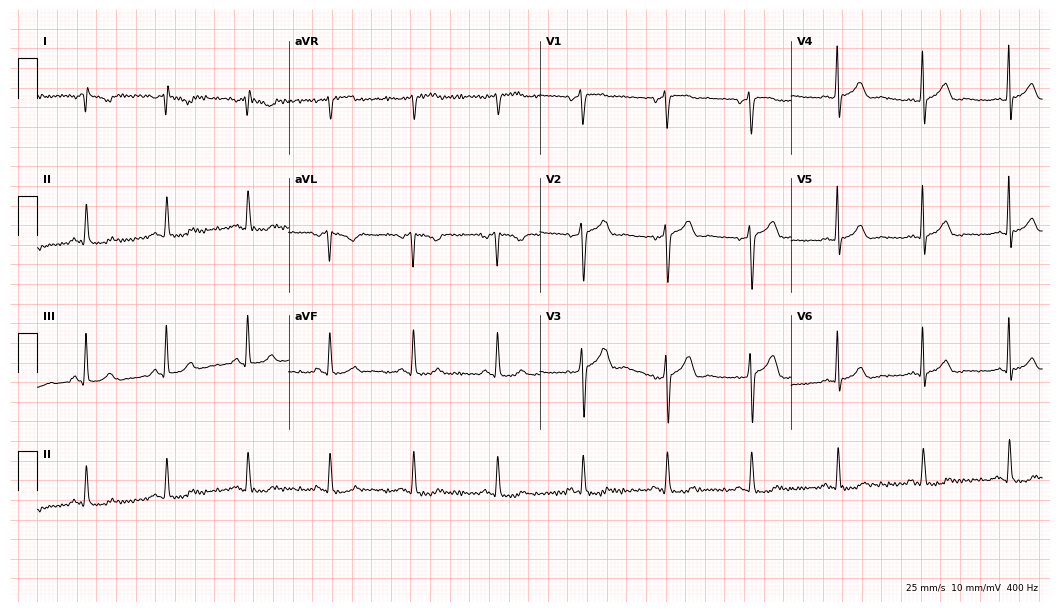
12-lead ECG from a 45-year-old man. No first-degree AV block, right bundle branch block (RBBB), left bundle branch block (LBBB), sinus bradycardia, atrial fibrillation (AF) or sinus tachycardia recorded for this tracing. Other findings, if any, are not listed.